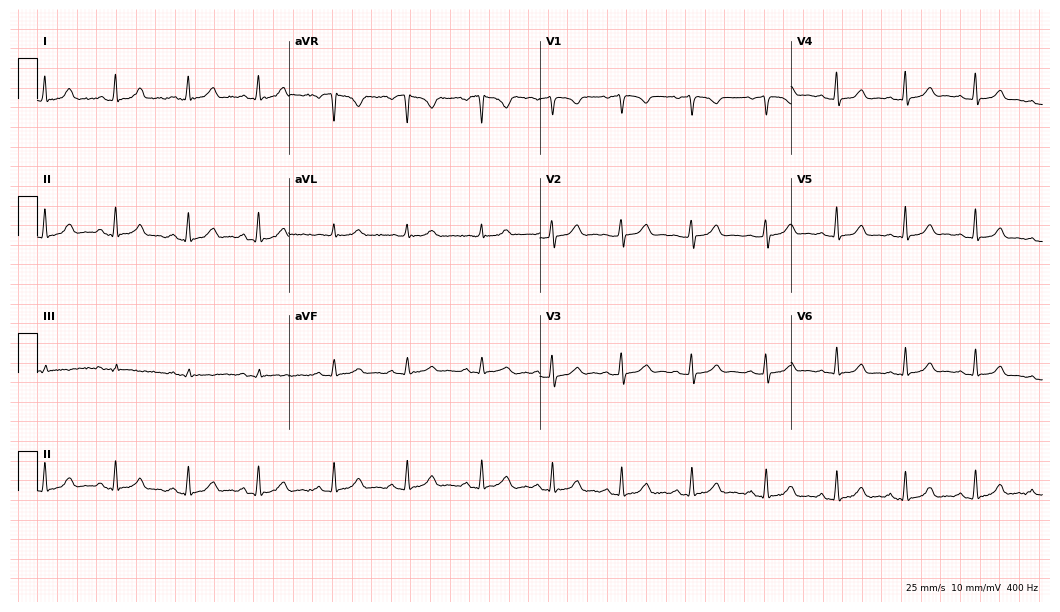
Resting 12-lead electrocardiogram. Patient: a 38-year-old female. Read as a normal ECG.